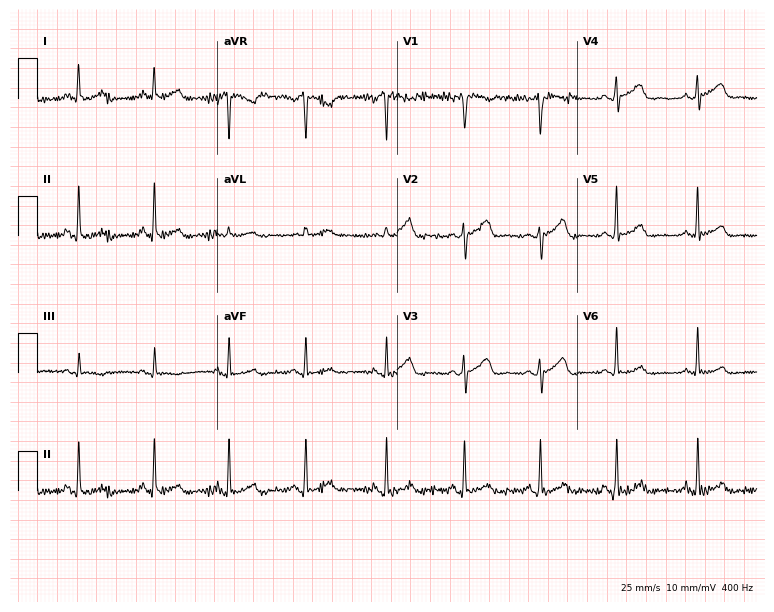
12-lead ECG from a woman, 46 years old. Recorded interpretation: within normal limits.